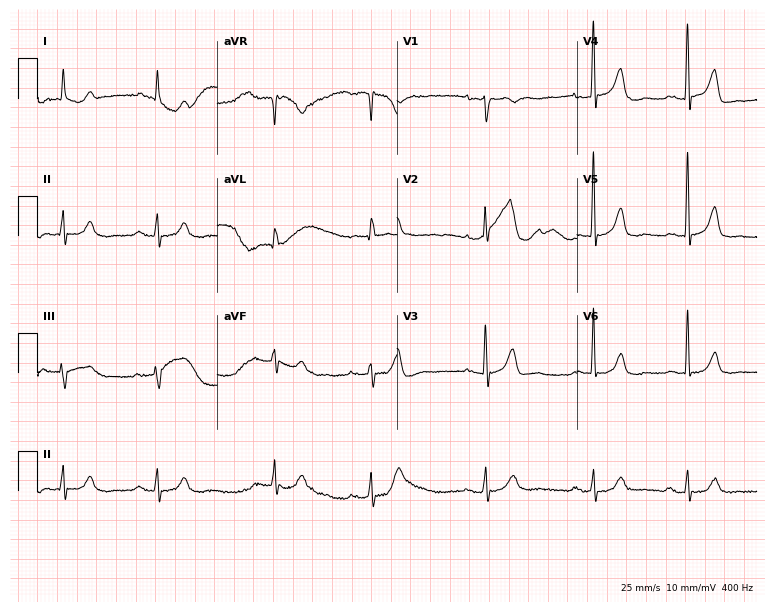
12-lead ECG from a 71-year-old male (7.3-second recording at 400 Hz). Recorded interpretation: within normal limits.